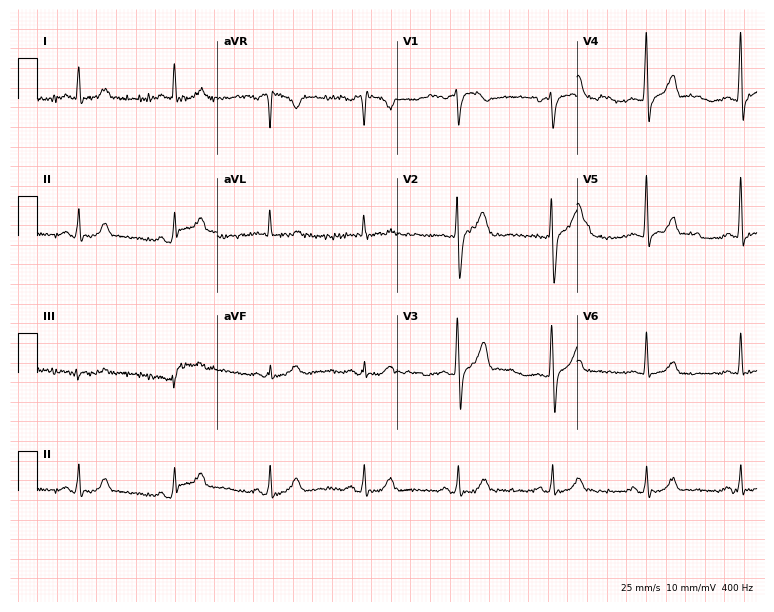
Electrocardiogram, a male, 67 years old. Overall reading on record: normal ECG.